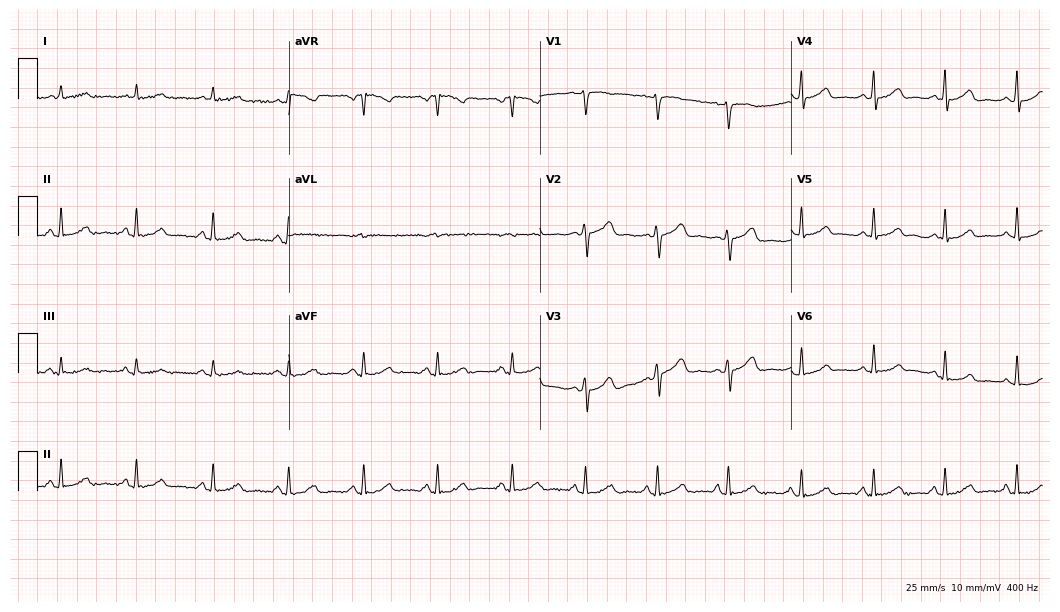
Resting 12-lead electrocardiogram. Patient: a 49-year-old female. None of these six findings is recorded: first-degree AV block, right bundle branch block, left bundle branch block, sinus bradycardia, atrial fibrillation, sinus tachycardia.